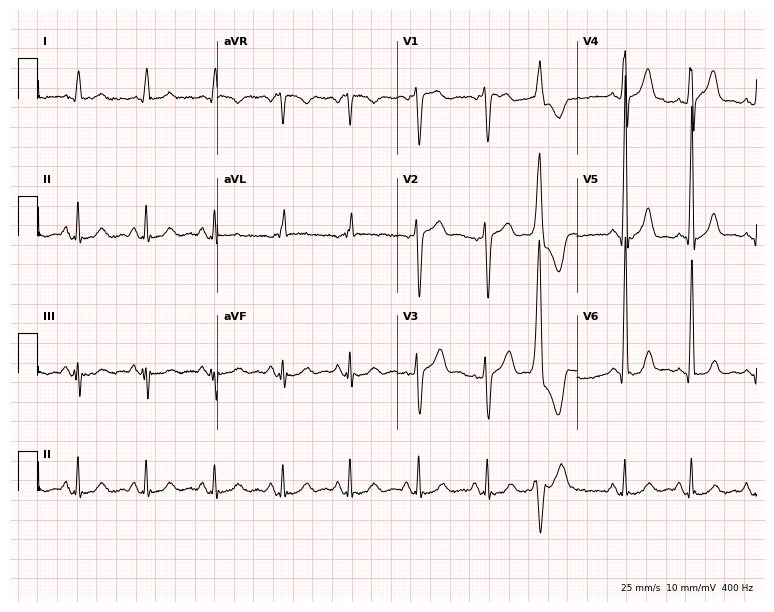
12-lead ECG from a 76-year-old male patient (7.3-second recording at 400 Hz). No first-degree AV block, right bundle branch block (RBBB), left bundle branch block (LBBB), sinus bradycardia, atrial fibrillation (AF) or sinus tachycardia recorded for this tracing.